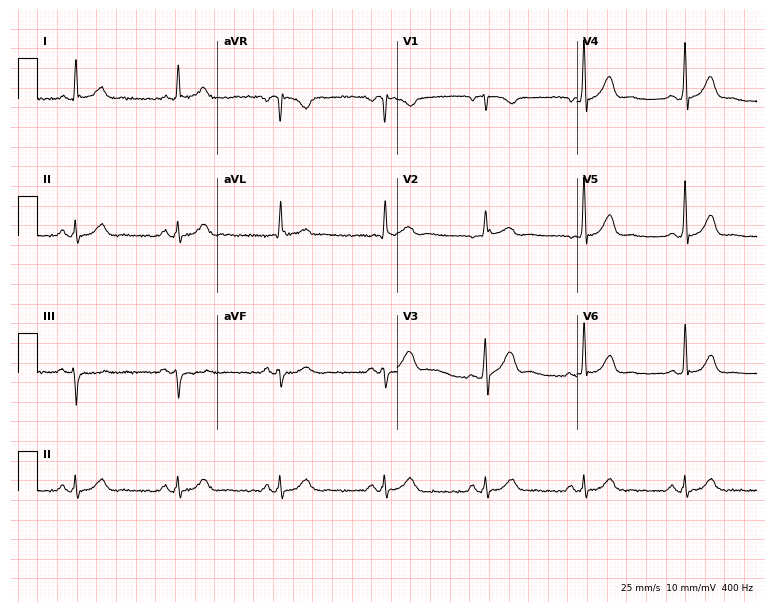
12-lead ECG from a 67-year-old man (7.3-second recording at 400 Hz). No first-degree AV block, right bundle branch block, left bundle branch block, sinus bradycardia, atrial fibrillation or sinus tachycardia recorded for this tracing.